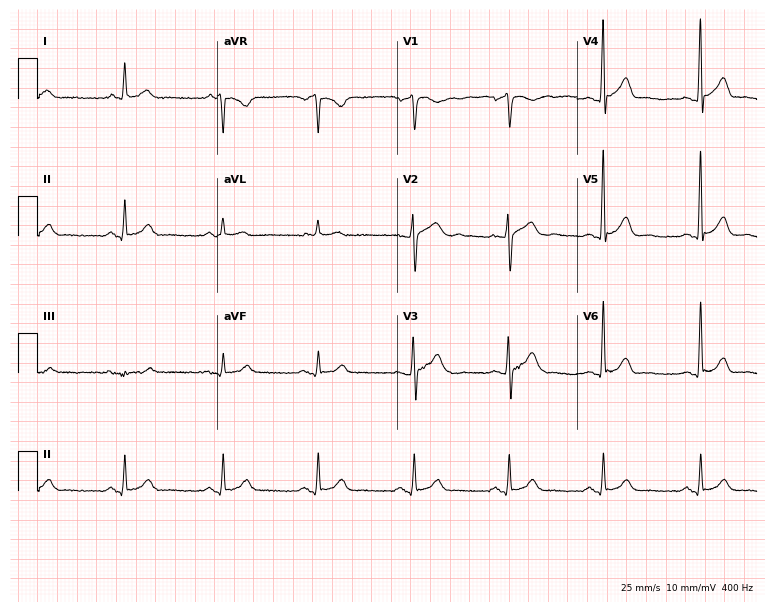
ECG — a 69-year-old male. Labelled as a normal ECG.